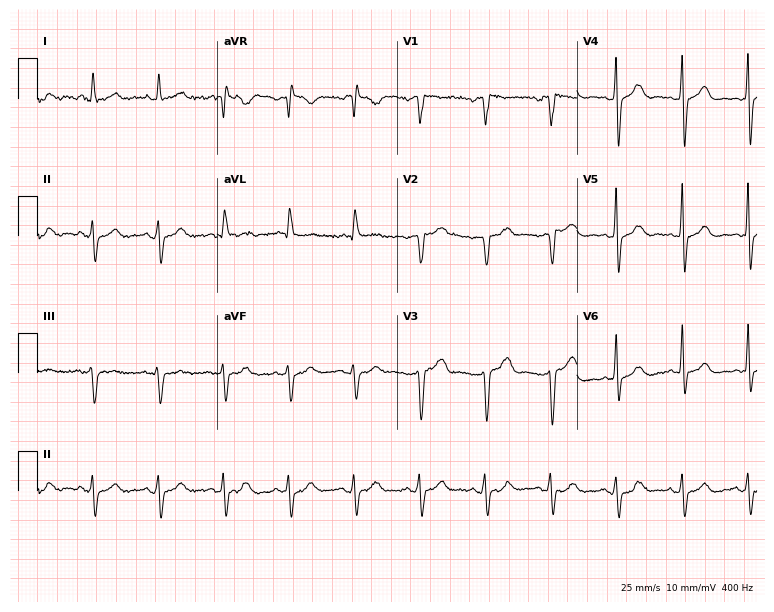
Resting 12-lead electrocardiogram. Patient: a man, 72 years old. None of these six findings is recorded: first-degree AV block, right bundle branch block, left bundle branch block, sinus bradycardia, atrial fibrillation, sinus tachycardia. Other findings, if any, are not listed.